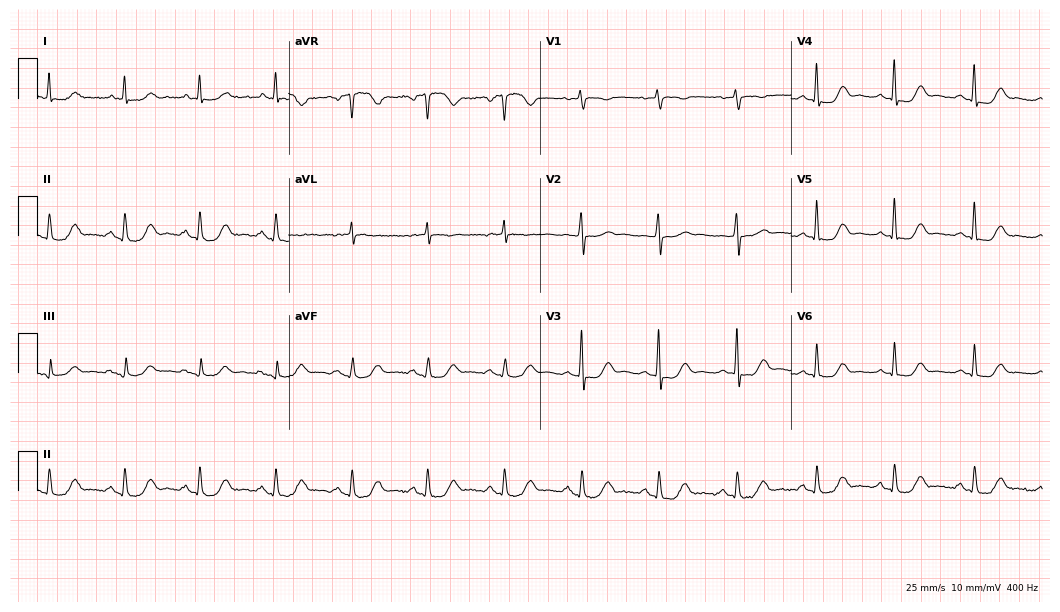
12-lead ECG from a 69-year-old female. No first-degree AV block, right bundle branch block, left bundle branch block, sinus bradycardia, atrial fibrillation or sinus tachycardia recorded for this tracing. Other findings, if any, are not listed.